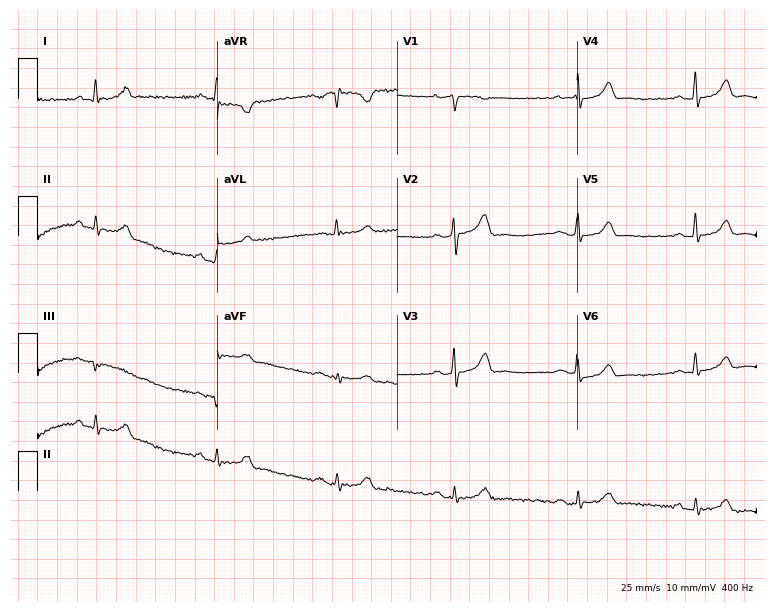
12-lead ECG from a female patient, 42 years old (7.3-second recording at 400 Hz). Shows sinus bradycardia (a sinus rate of 50 beats per minute or less).